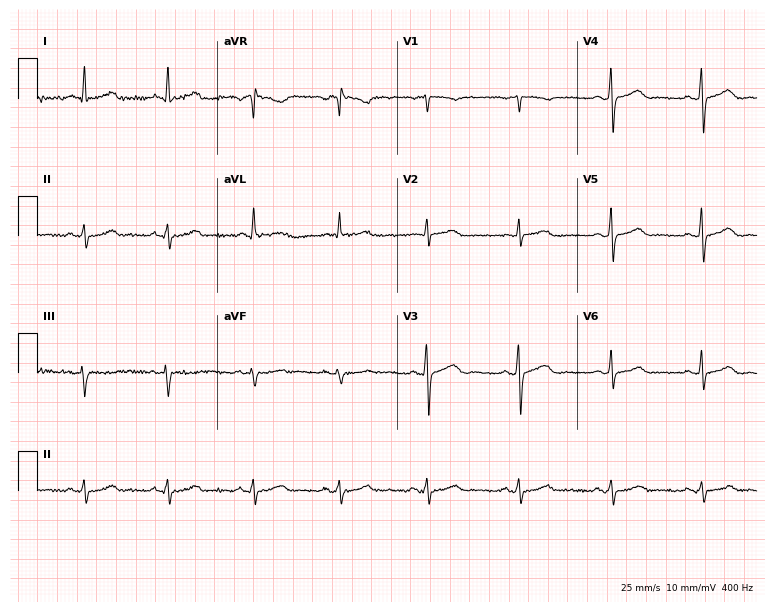
Standard 12-lead ECG recorded from a 58-year-old woman. None of these six findings is recorded: first-degree AV block, right bundle branch block, left bundle branch block, sinus bradycardia, atrial fibrillation, sinus tachycardia. Other findings, if any, are not listed.